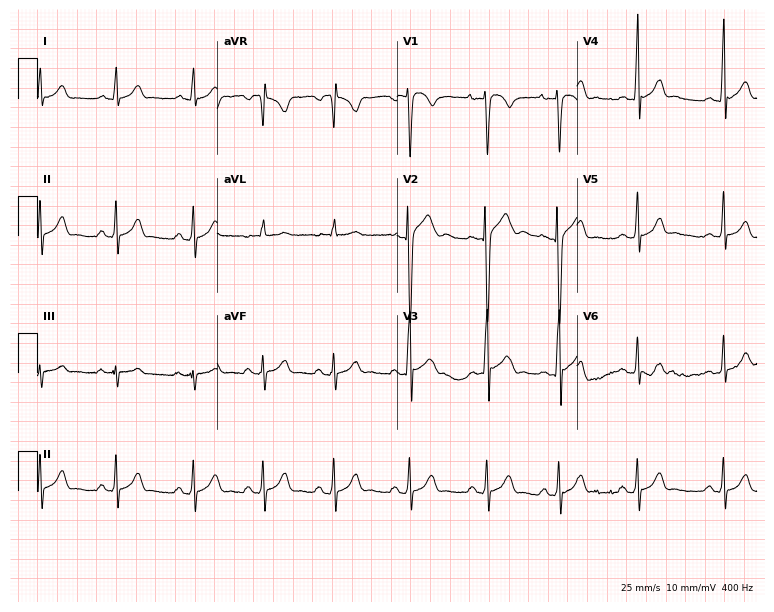
ECG (7.3-second recording at 400 Hz) — a 21-year-old male. Labelled as a normal ECG.